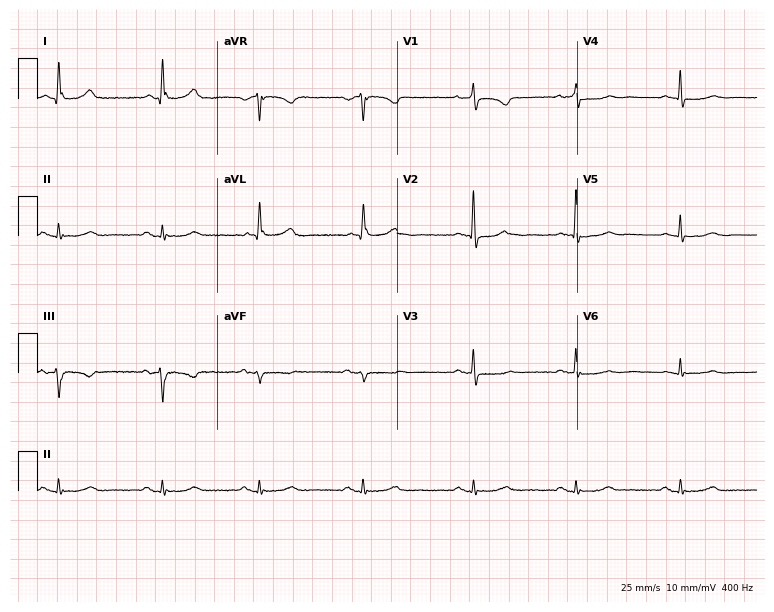
12-lead ECG from an 84-year-old female. Recorded interpretation: within normal limits.